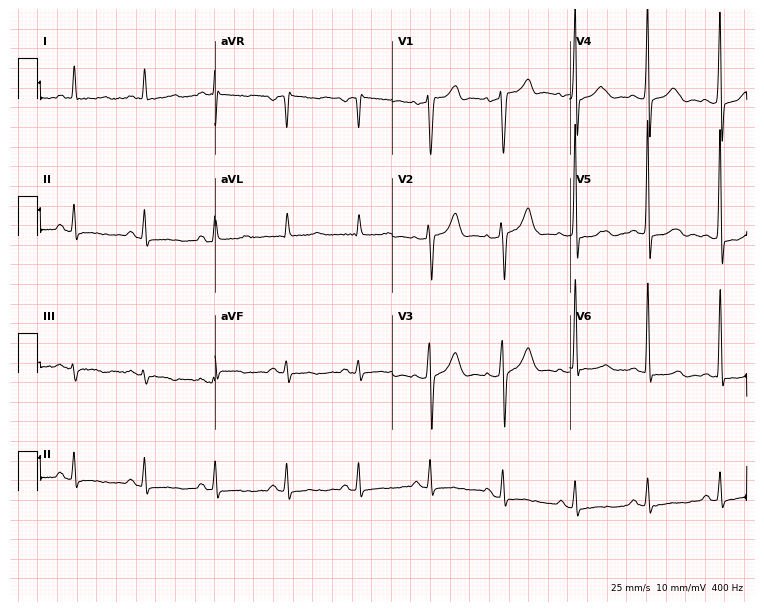
Electrocardiogram (7.2-second recording at 400 Hz), a 61-year-old male. Of the six screened findings (first-degree AV block, right bundle branch block (RBBB), left bundle branch block (LBBB), sinus bradycardia, atrial fibrillation (AF), sinus tachycardia), none is recorded. Findings outside these six are not listed.